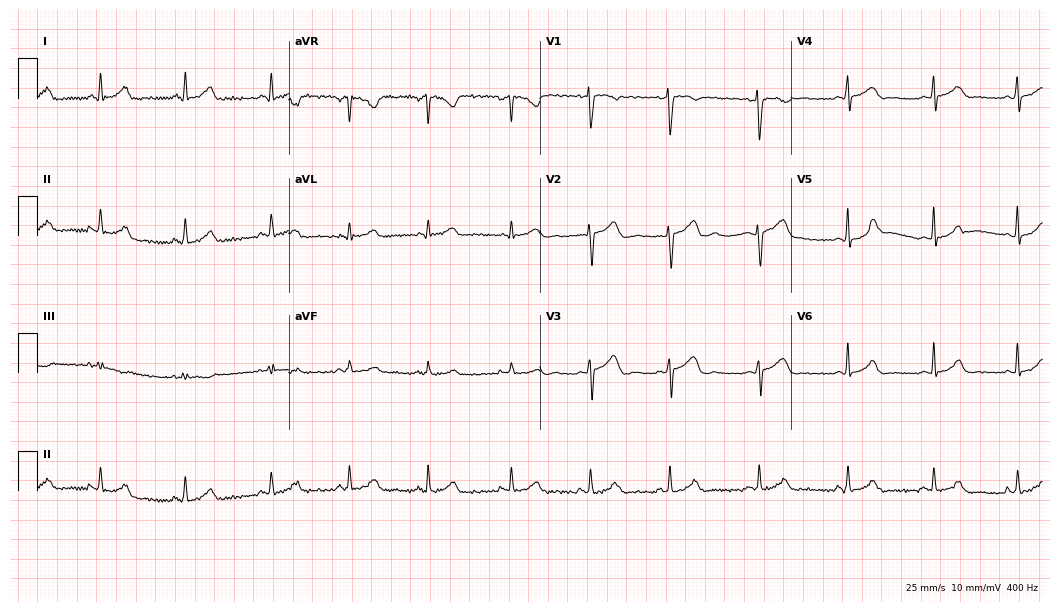
Electrocardiogram (10.2-second recording at 400 Hz), a female, 38 years old. Overall reading on record: normal ECG.